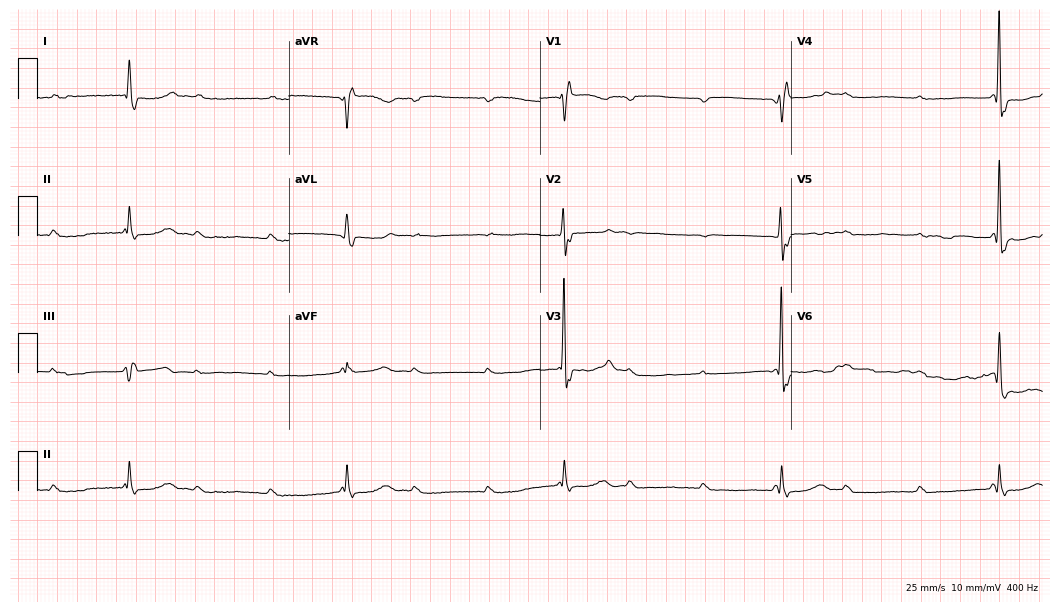
12-lead ECG from a male, 75 years old. Findings include first-degree AV block.